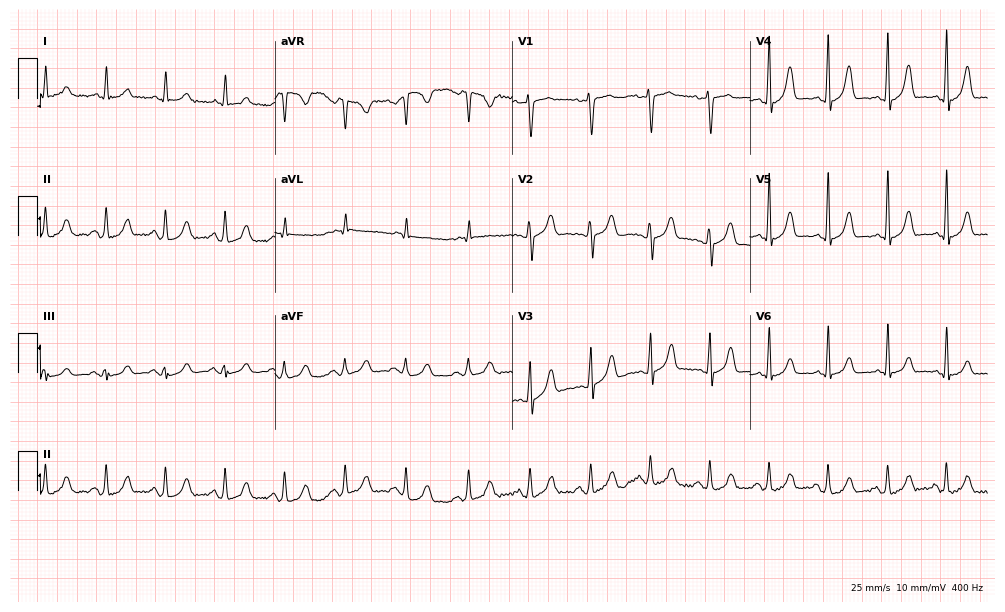
Electrocardiogram (9.7-second recording at 400 Hz), a 61-year-old female patient. Overall reading on record: normal ECG.